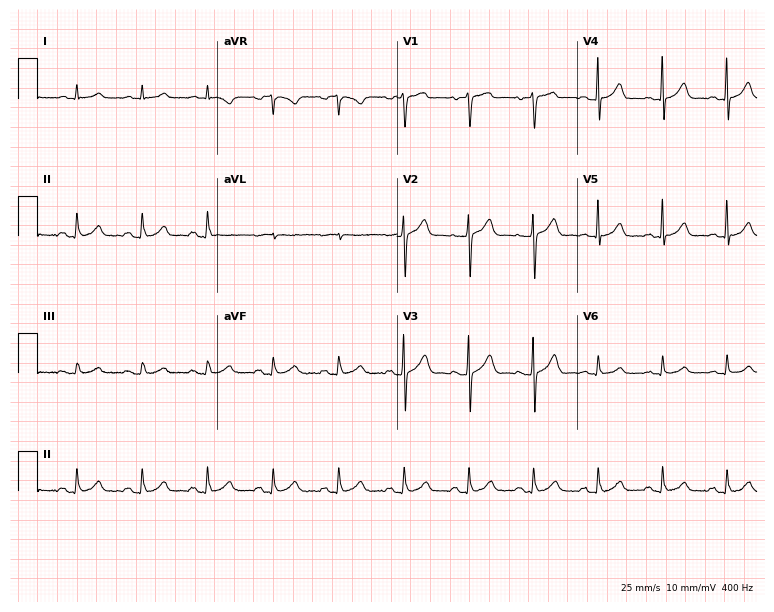
Electrocardiogram (7.3-second recording at 400 Hz), a male patient, 75 years old. Of the six screened findings (first-degree AV block, right bundle branch block, left bundle branch block, sinus bradycardia, atrial fibrillation, sinus tachycardia), none is recorded. Other findings, if any, are not listed.